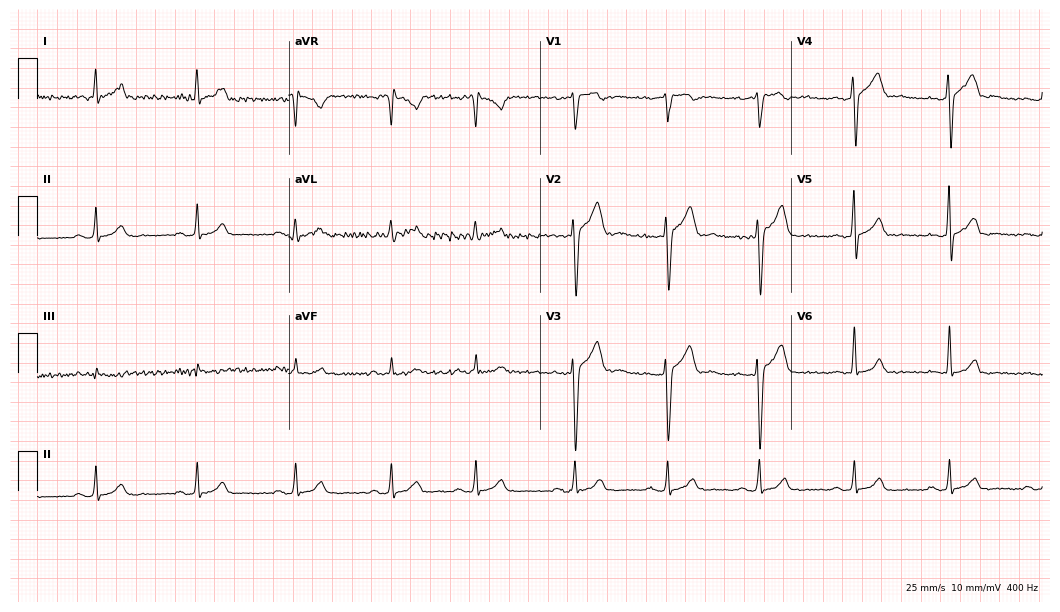
12-lead ECG from a 21-year-old male patient. No first-degree AV block, right bundle branch block, left bundle branch block, sinus bradycardia, atrial fibrillation or sinus tachycardia recorded for this tracing.